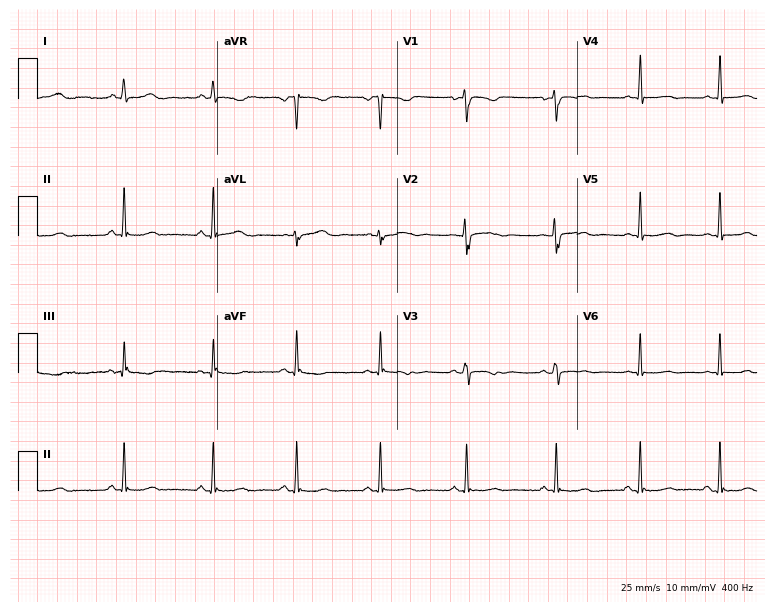
ECG (7.3-second recording at 400 Hz) — a 33-year-old female patient. Screened for six findings — first-degree AV block, right bundle branch block, left bundle branch block, sinus bradycardia, atrial fibrillation, sinus tachycardia — none is recorded.